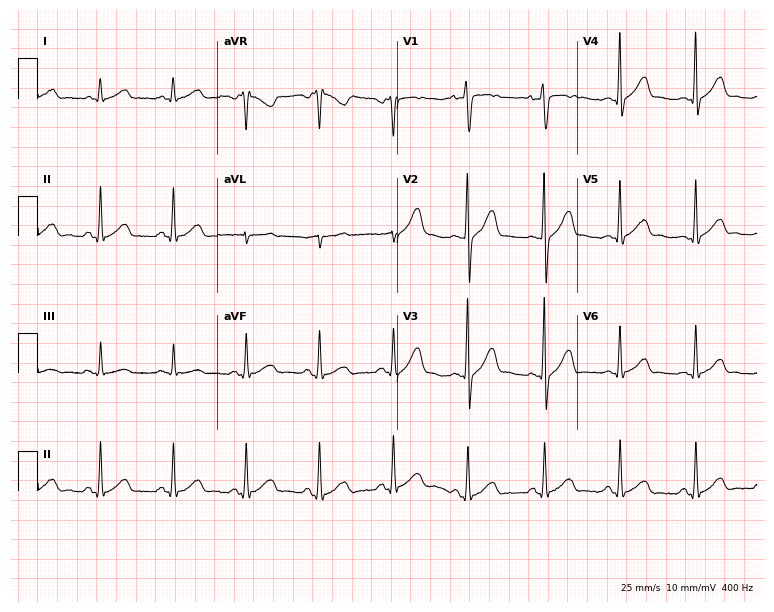
Resting 12-lead electrocardiogram. Patient: a 26-year-old male. Read as a normal ECG.